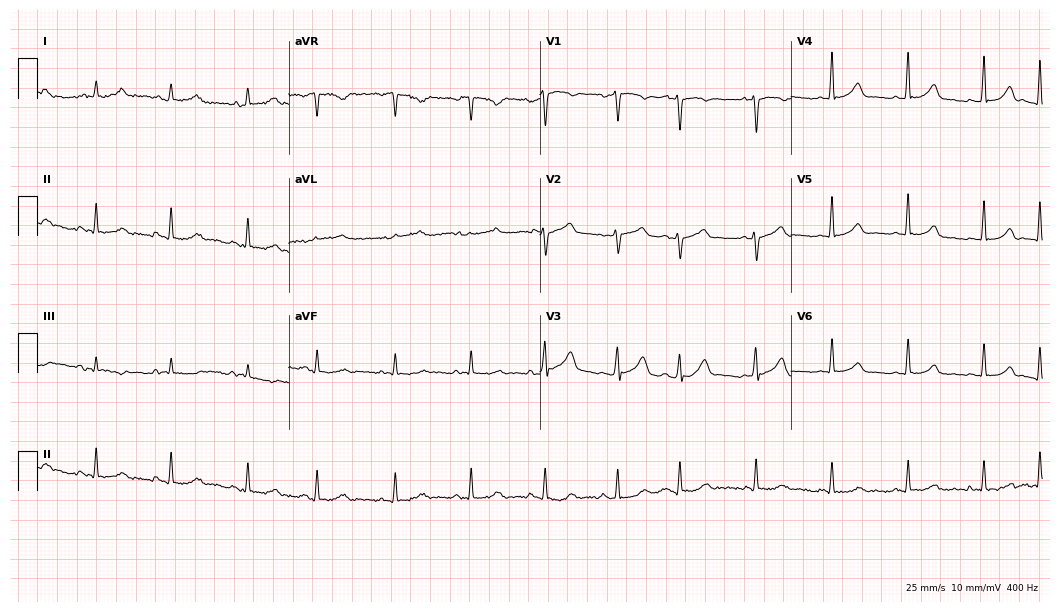
Resting 12-lead electrocardiogram. Patient: a 63-year-old male. Read as a normal ECG.